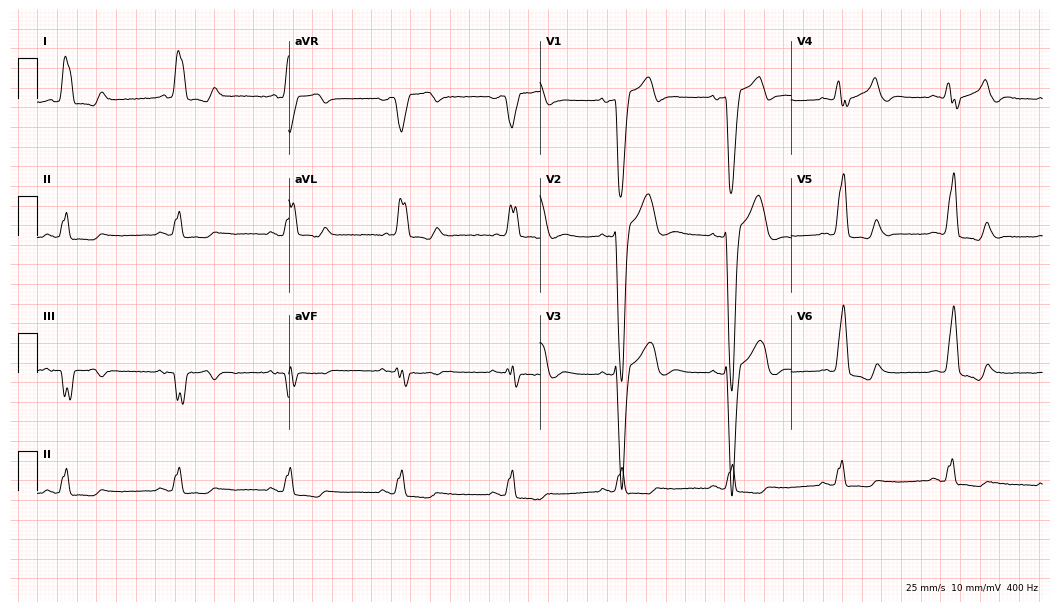
Standard 12-lead ECG recorded from a man, 76 years old (10.2-second recording at 400 Hz). The tracing shows left bundle branch block (LBBB).